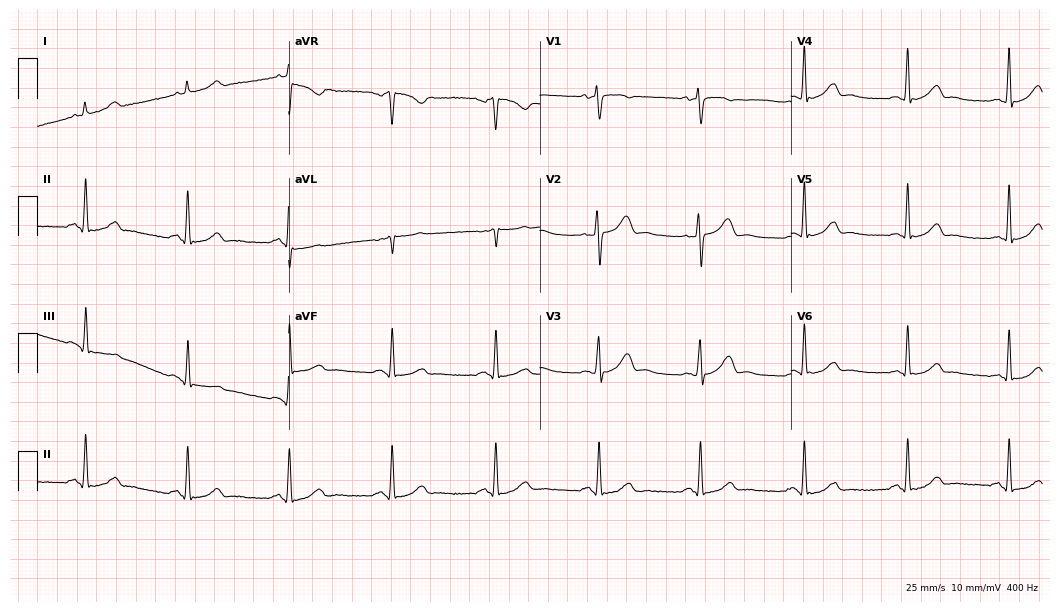
12-lead ECG (10.2-second recording at 400 Hz) from a 51-year-old woman. Labelled as a normal ECG.